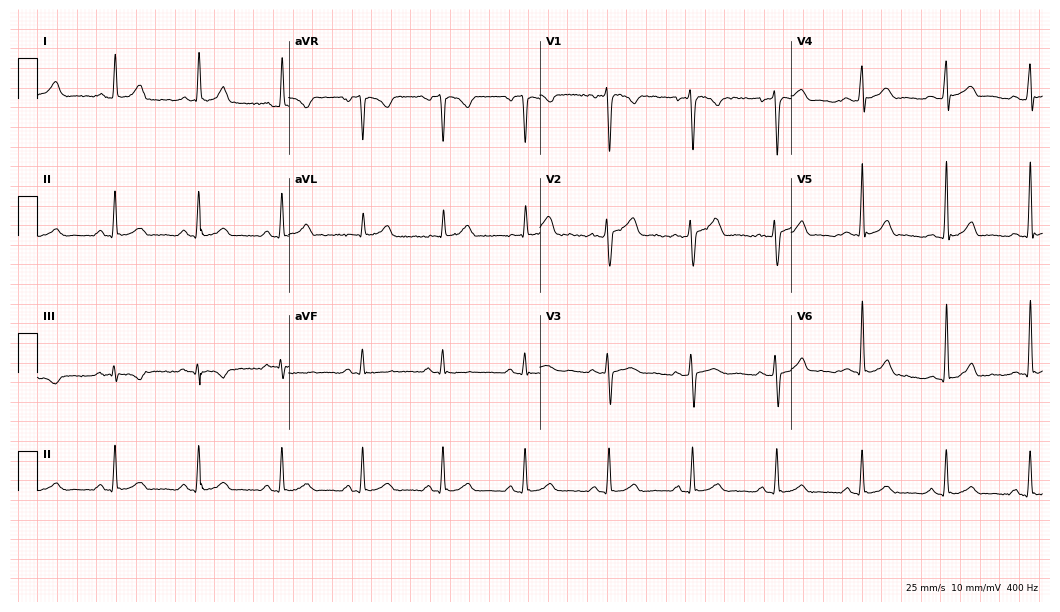
Standard 12-lead ECG recorded from a 45-year-old male (10.2-second recording at 400 Hz). Read as a normal ECG.